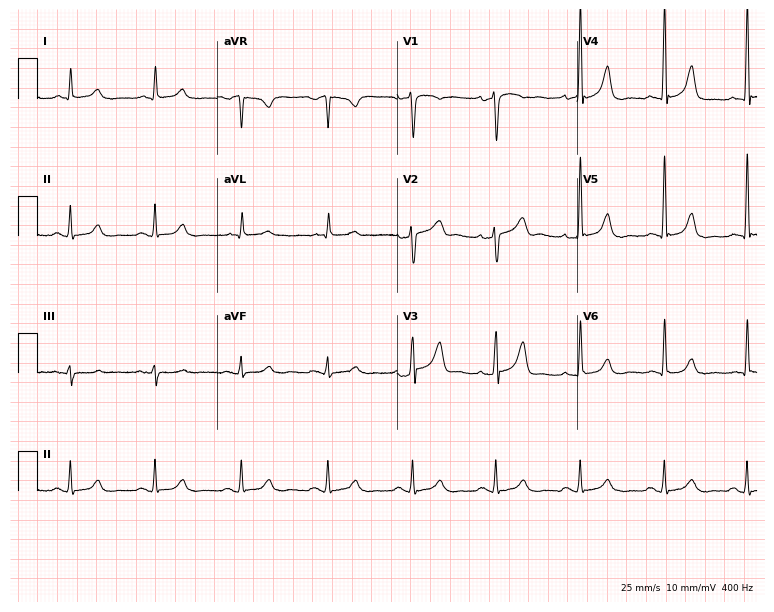
Electrocardiogram, a man, 67 years old. Overall reading on record: normal ECG.